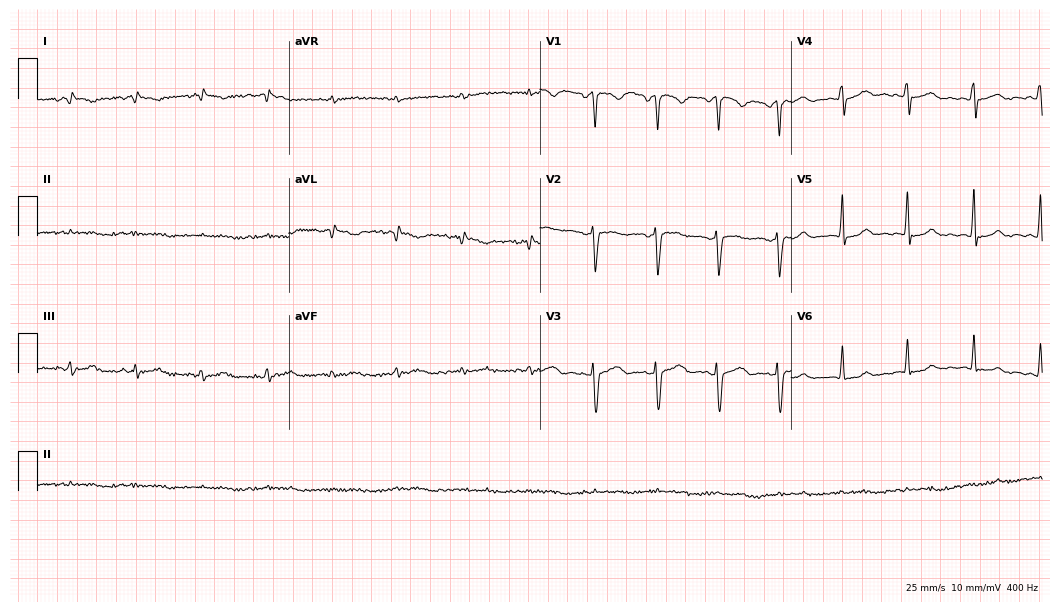
Electrocardiogram (10.2-second recording at 400 Hz), a female patient, 34 years old. Overall reading on record: normal ECG.